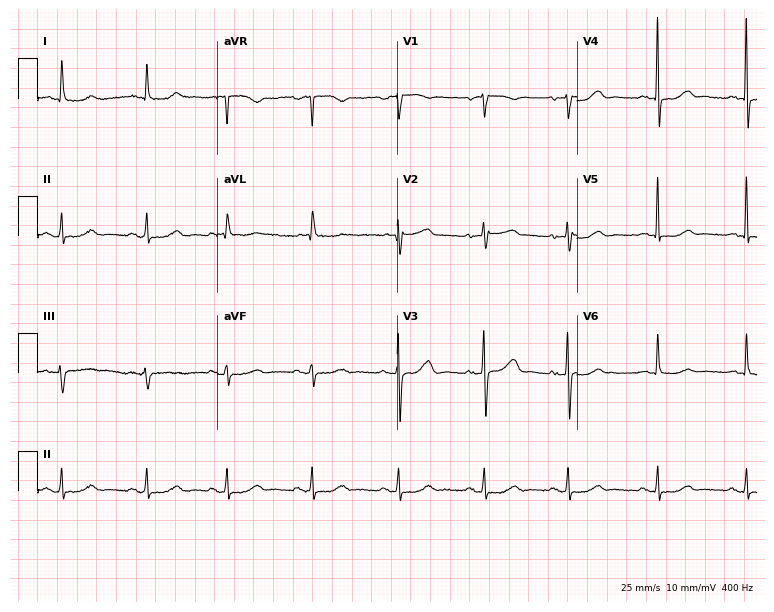
Electrocardiogram (7.3-second recording at 400 Hz), a female patient, 76 years old. Of the six screened findings (first-degree AV block, right bundle branch block, left bundle branch block, sinus bradycardia, atrial fibrillation, sinus tachycardia), none is recorded. Only these six findings were labelled.